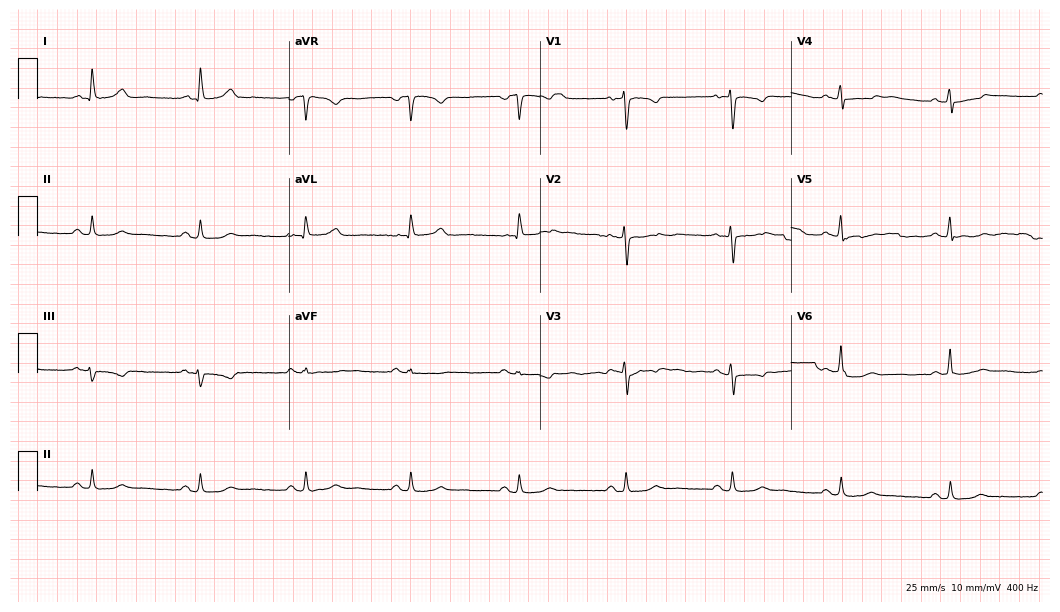
12-lead ECG from a female, 52 years old. Screened for six findings — first-degree AV block, right bundle branch block, left bundle branch block, sinus bradycardia, atrial fibrillation, sinus tachycardia — none is recorded. Only these six findings were labelled.